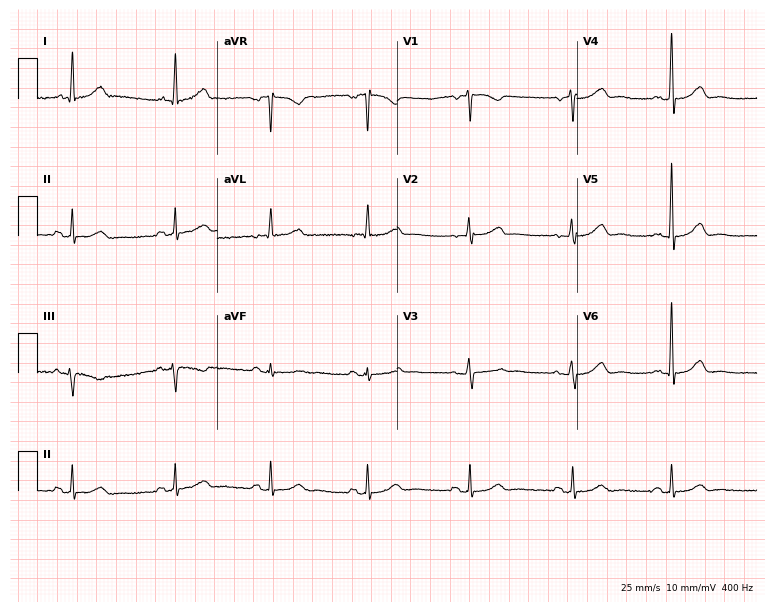
Resting 12-lead electrocardiogram (7.3-second recording at 400 Hz). Patient: a 59-year-old female. Read as a normal ECG.